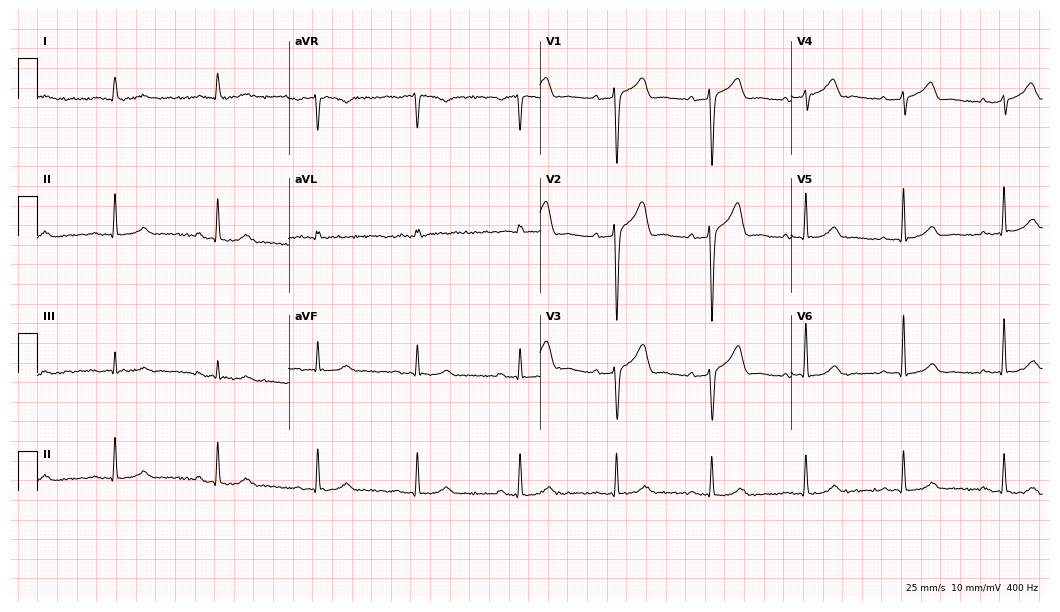
Resting 12-lead electrocardiogram. Patient: a man, 60 years old. None of these six findings is recorded: first-degree AV block, right bundle branch block (RBBB), left bundle branch block (LBBB), sinus bradycardia, atrial fibrillation (AF), sinus tachycardia.